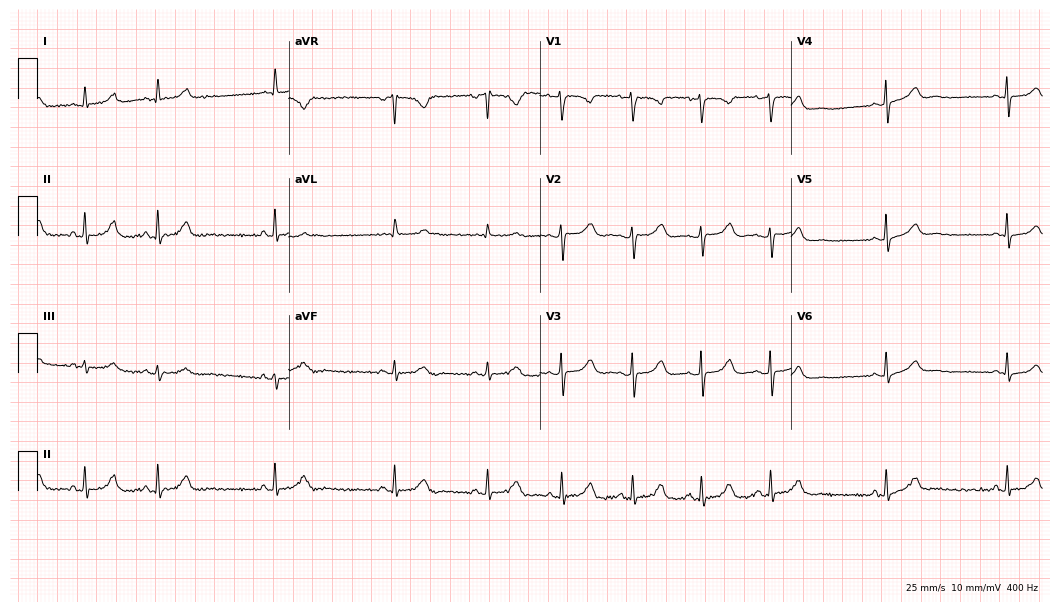
Standard 12-lead ECG recorded from a 34-year-old woman. Read as a normal ECG.